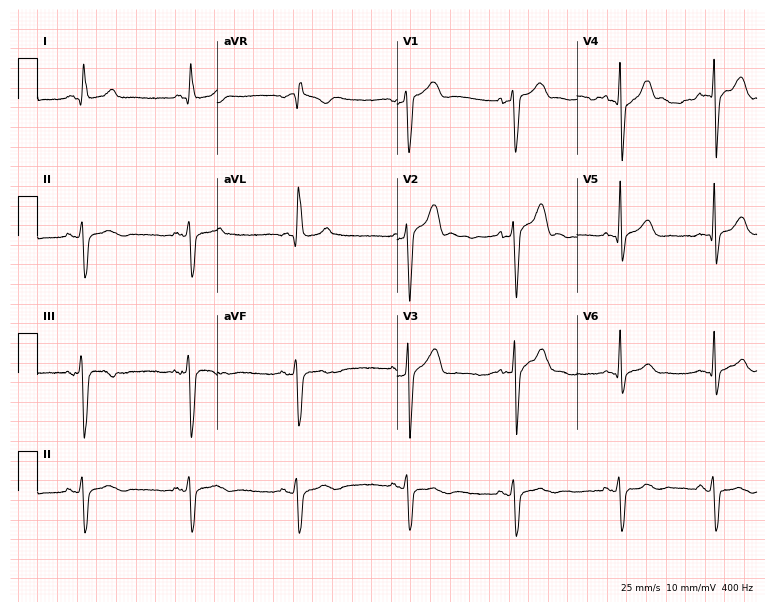
ECG (7.3-second recording at 400 Hz) — a 63-year-old man. Screened for six findings — first-degree AV block, right bundle branch block, left bundle branch block, sinus bradycardia, atrial fibrillation, sinus tachycardia — none is recorded.